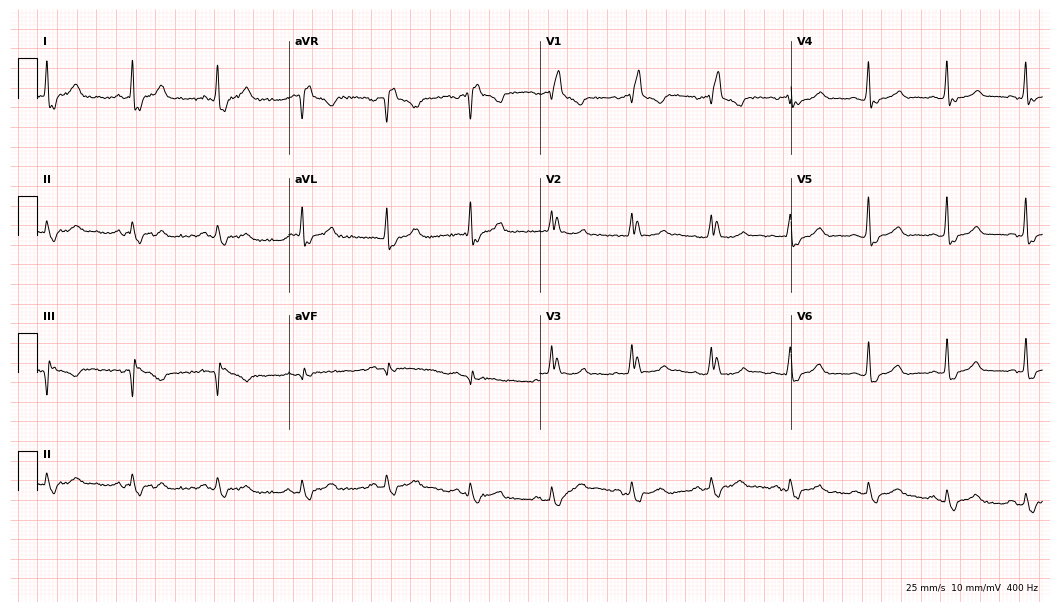
Resting 12-lead electrocardiogram. Patient: a 54-year-old man. None of these six findings is recorded: first-degree AV block, right bundle branch block, left bundle branch block, sinus bradycardia, atrial fibrillation, sinus tachycardia. Only these six findings were labelled.